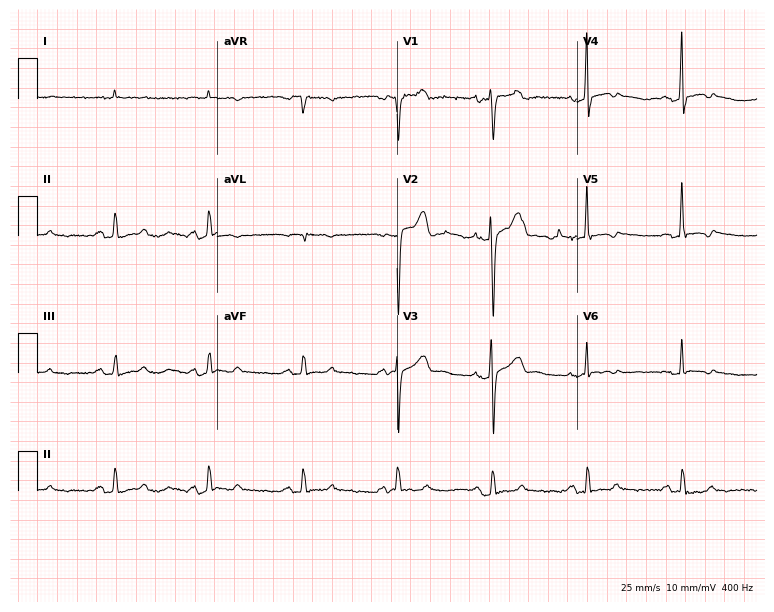
12-lead ECG from a 71-year-old male (7.3-second recording at 400 Hz). No first-degree AV block, right bundle branch block (RBBB), left bundle branch block (LBBB), sinus bradycardia, atrial fibrillation (AF) or sinus tachycardia recorded for this tracing.